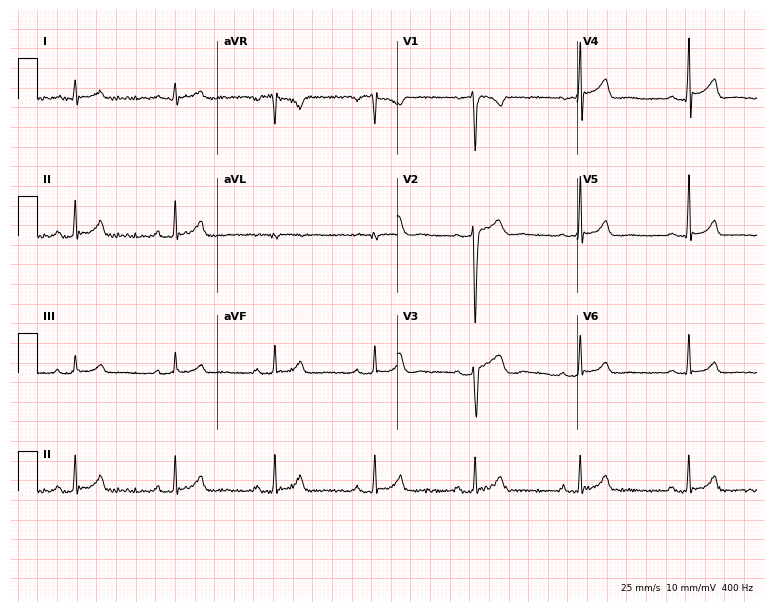
Resting 12-lead electrocardiogram (7.3-second recording at 400 Hz). Patient: a 38-year-old man. None of these six findings is recorded: first-degree AV block, right bundle branch block, left bundle branch block, sinus bradycardia, atrial fibrillation, sinus tachycardia.